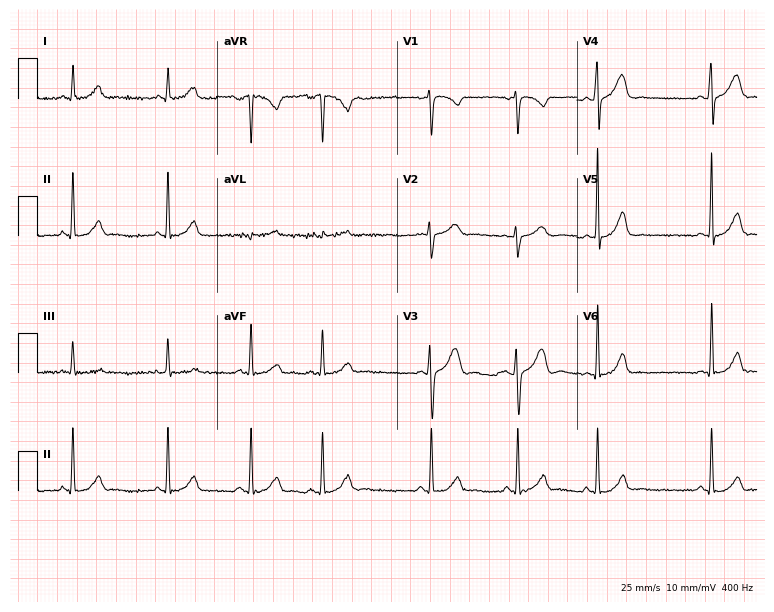
Standard 12-lead ECG recorded from a 27-year-old female patient (7.3-second recording at 400 Hz). None of these six findings is recorded: first-degree AV block, right bundle branch block, left bundle branch block, sinus bradycardia, atrial fibrillation, sinus tachycardia. Findings outside these six are not listed.